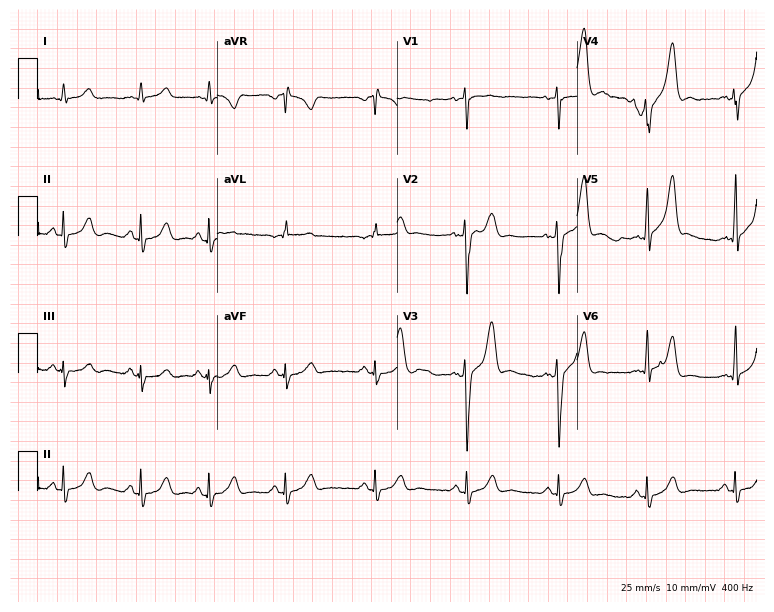
Standard 12-lead ECG recorded from a male, 29 years old. None of these six findings is recorded: first-degree AV block, right bundle branch block, left bundle branch block, sinus bradycardia, atrial fibrillation, sinus tachycardia. Other findings, if any, are not listed.